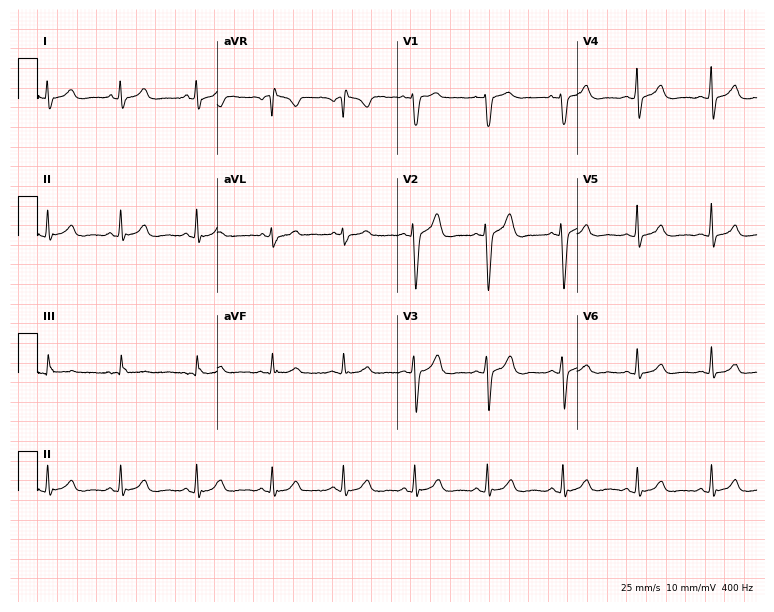
Standard 12-lead ECG recorded from a 37-year-old female. Read as a normal ECG.